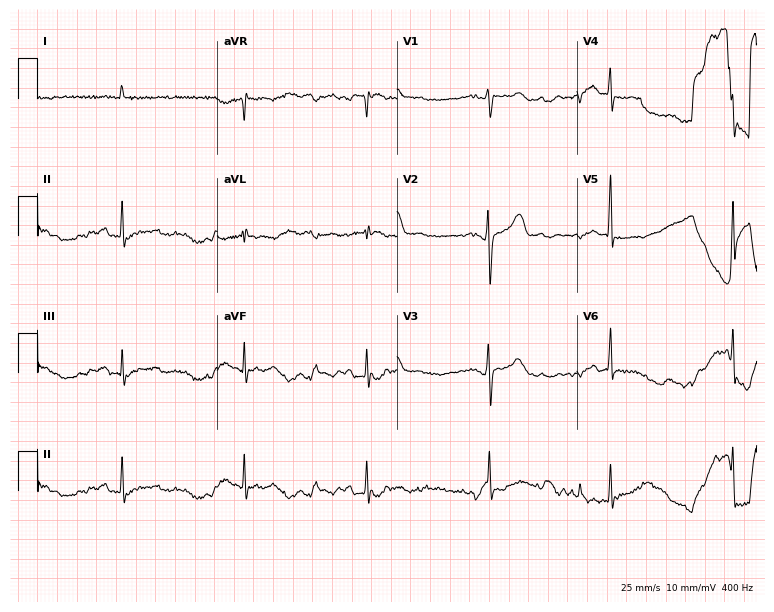
12-lead ECG from a male patient, 64 years old. No first-degree AV block, right bundle branch block, left bundle branch block, sinus bradycardia, atrial fibrillation or sinus tachycardia recorded for this tracing. Other findings, if any, are not listed.